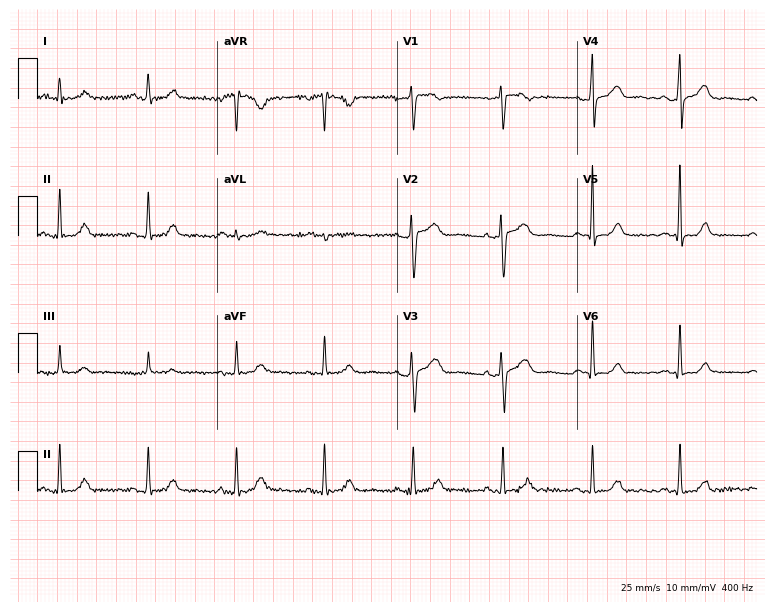
ECG (7.3-second recording at 400 Hz) — a female, 55 years old. Labelled as a normal ECG.